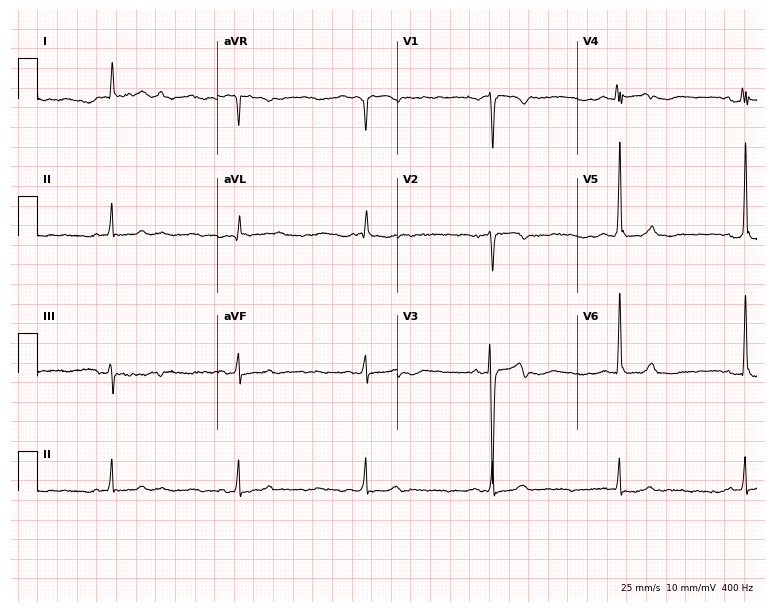
Standard 12-lead ECG recorded from a 71-year-old man (7.3-second recording at 400 Hz). None of these six findings is recorded: first-degree AV block, right bundle branch block, left bundle branch block, sinus bradycardia, atrial fibrillation, sinus tachycardia. Only these six findings were labelled.